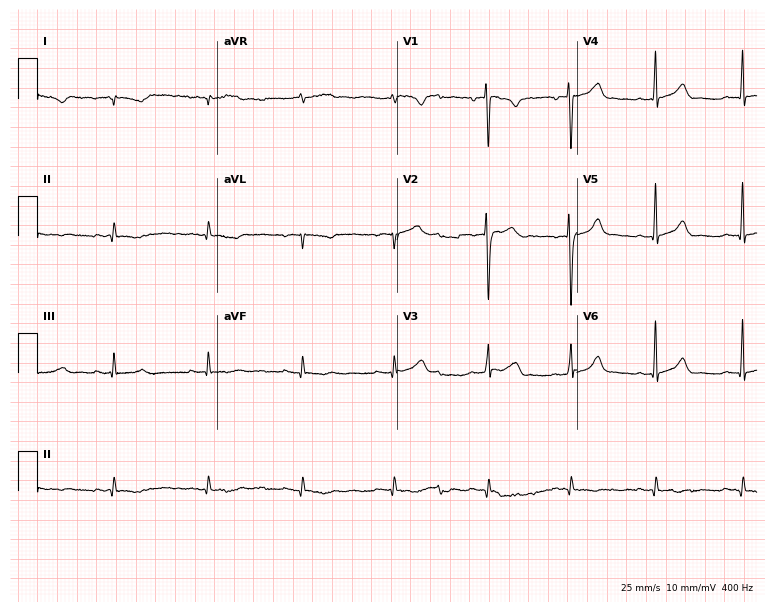
12-lead ECG from a woman, 28 years old (7.3-second recording at 400 Hz). No first-degree AV block, right bundle branch block (RBBB), left bundle branch block (LBBB), sinus bradycardia, atrial fibrillation (AF) or sinus tachycardia recorded for this tracing.